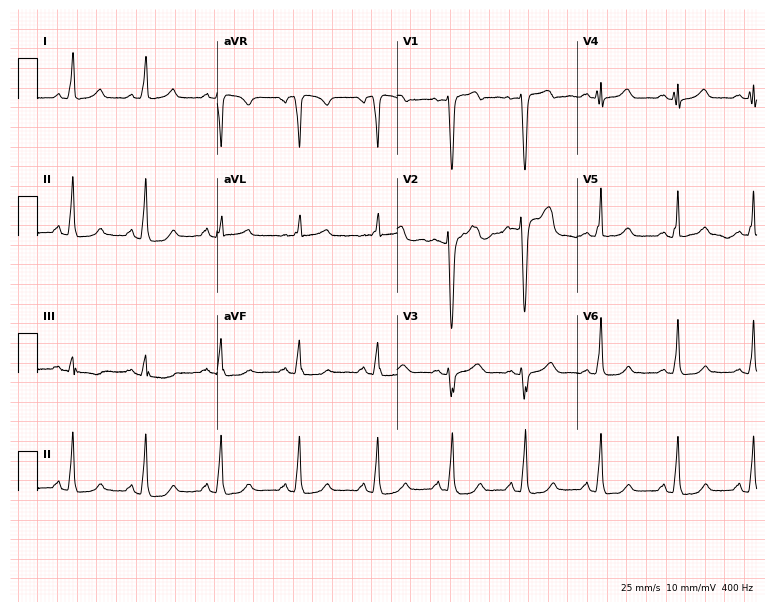
ECG — a 58-year-old female. Screened for six findings — first-degree AV block, right bundle branch block (RBBB), left bundle branch block (LBBB), sinus bradycardia, atrial fibrillation (AF), sinus tachycardia — none is recorded.